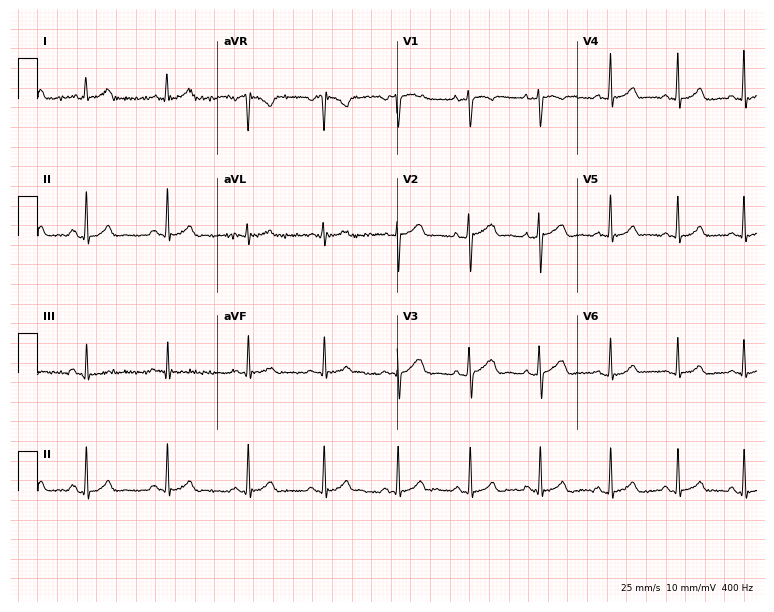
Standard 12-lead ECG recorded from a 36-year-old female (7.3-second recording at 400 Hz). Read as a normal ECG.